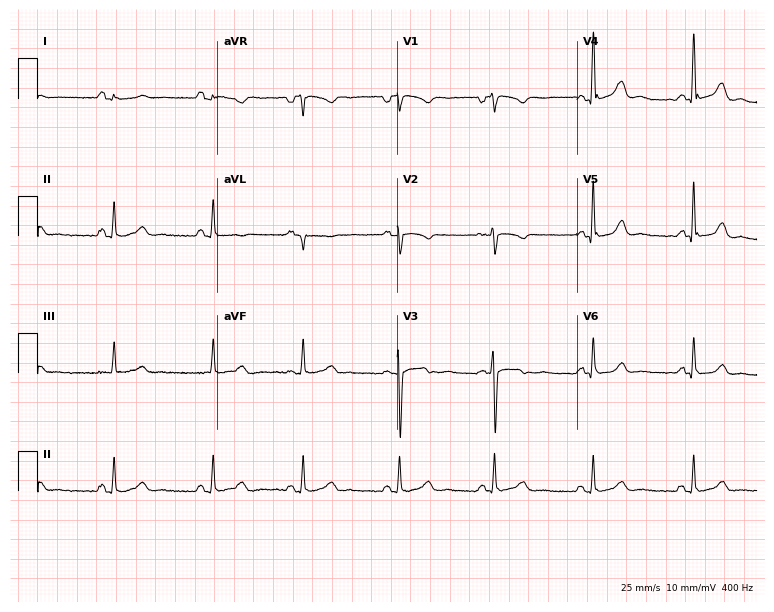
12-lead ECG from a woman, 25 years old. Recorded interpretation: within normal limits.